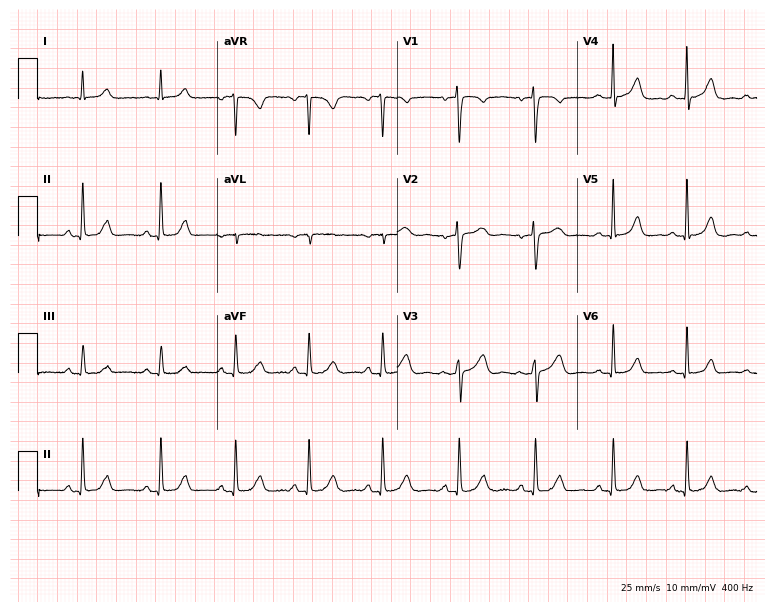
12-lead ECG from a female, 40 years old (7.3-second recording at 400 Hz). No first-degree AV block, right bundle branch block, left bundle branch block, sinus bradycardia, atrial fibrillation or sinus tachycardia recorded for this tracing. Other findings, if any, are not listed.